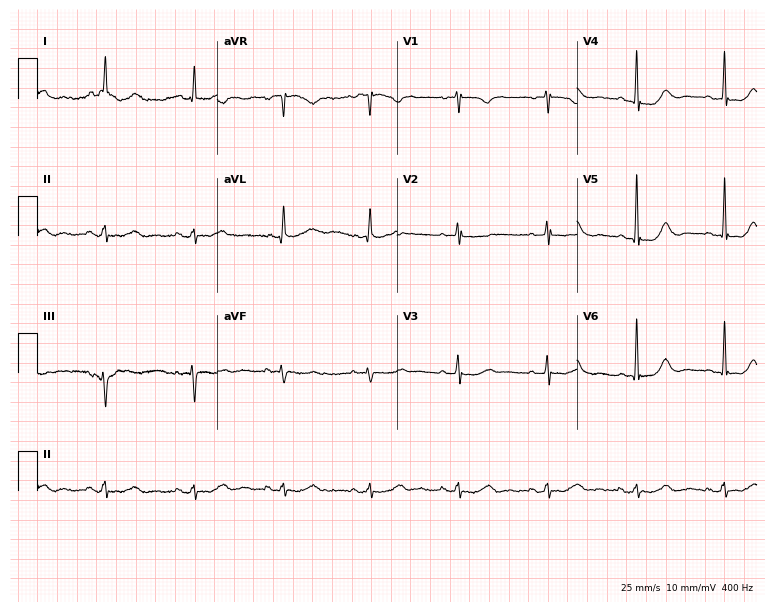
12-lead ECG (7.3-second recording at 400 Hz) from a 76-year-old female. Labelled as a normal ECG.